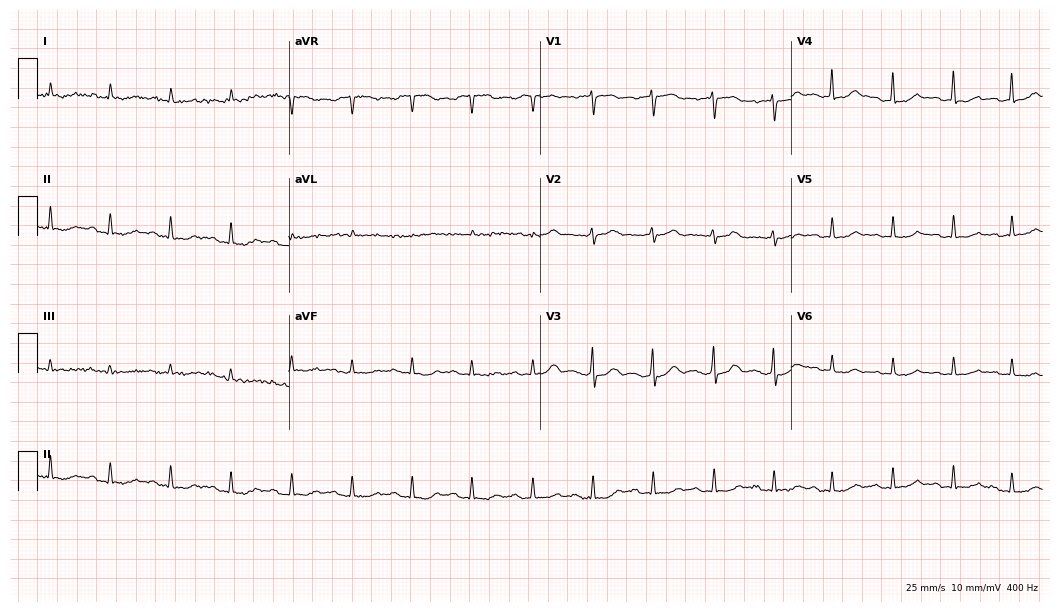
ECG — a female patient, 82 years old. Labelled as a normal ECG.